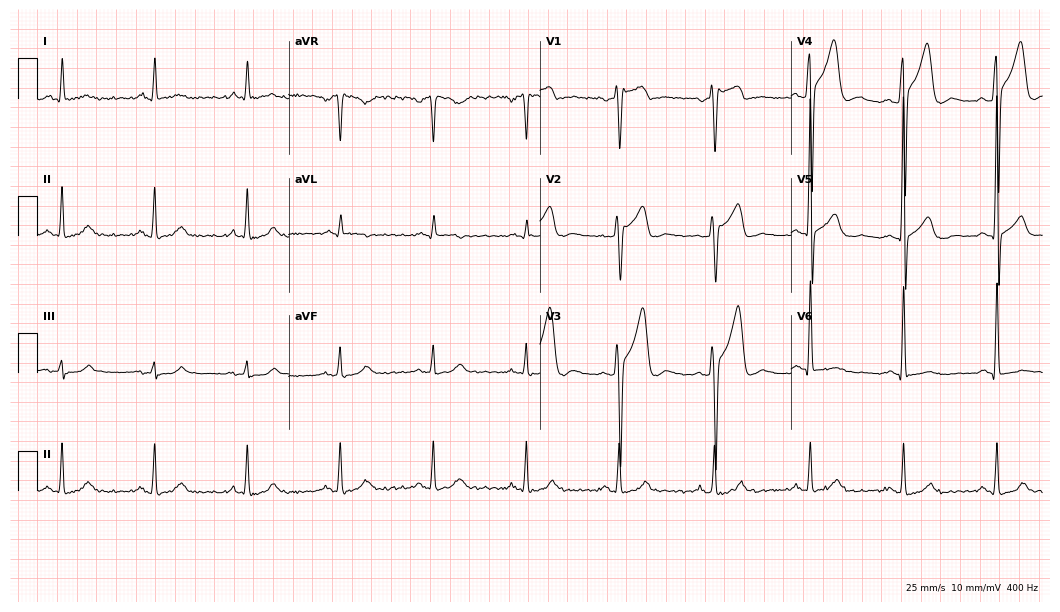
12-lead ECG from a male patient, 38 years old. Recorded interpretation: within normal limits.